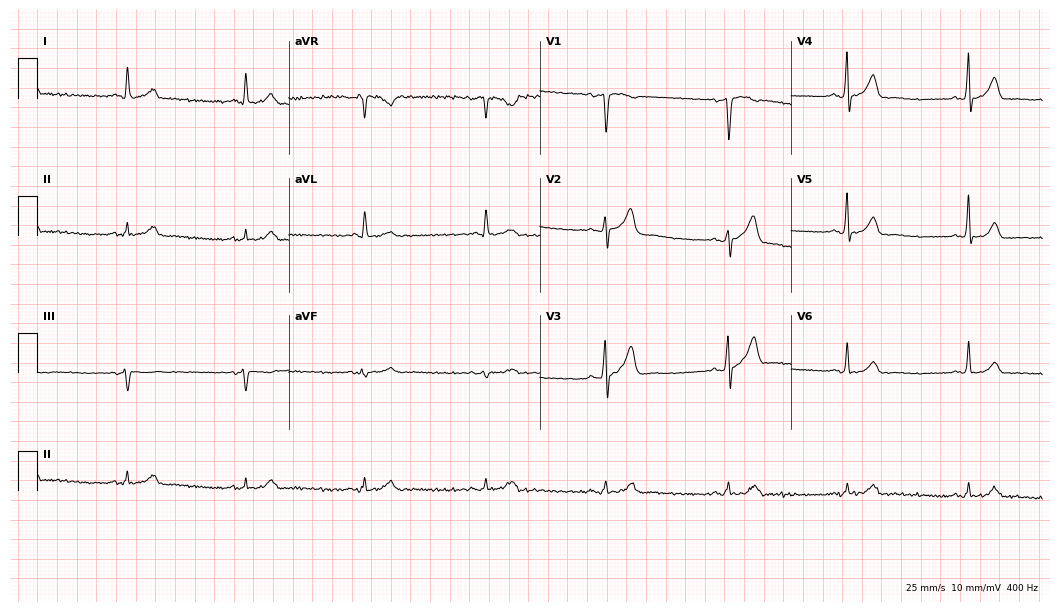
Electrocardiogram, a 51-year-old man. Interpretation includes sinus bradycardia (a sinus rate of 50 beats per minute or less).